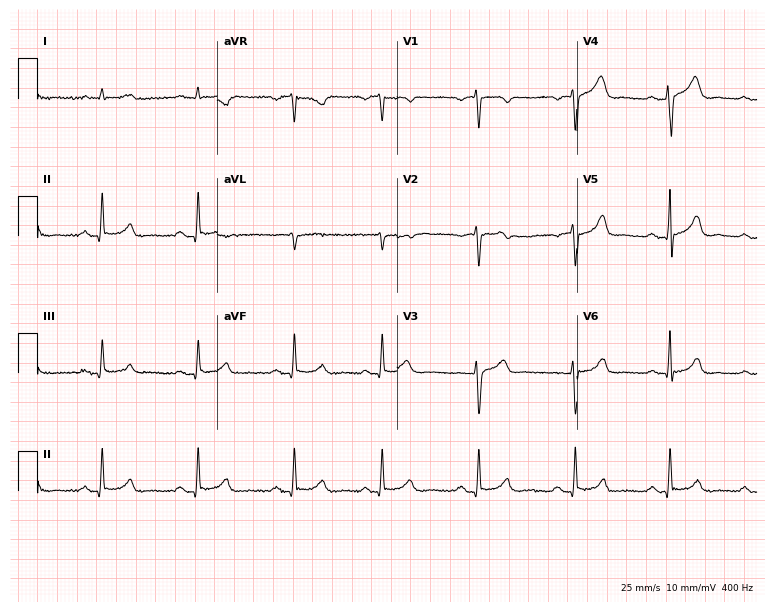
Resting 12-lead electrocardiogram. Patient: a 54-year-old male. None of these six findings is recorded: first-degree AV block, right bundle branch block, left bundle branch block, sinus bradycardia, atrial fibrillation, sinus tachycardia. Findings outside these six are not listed.